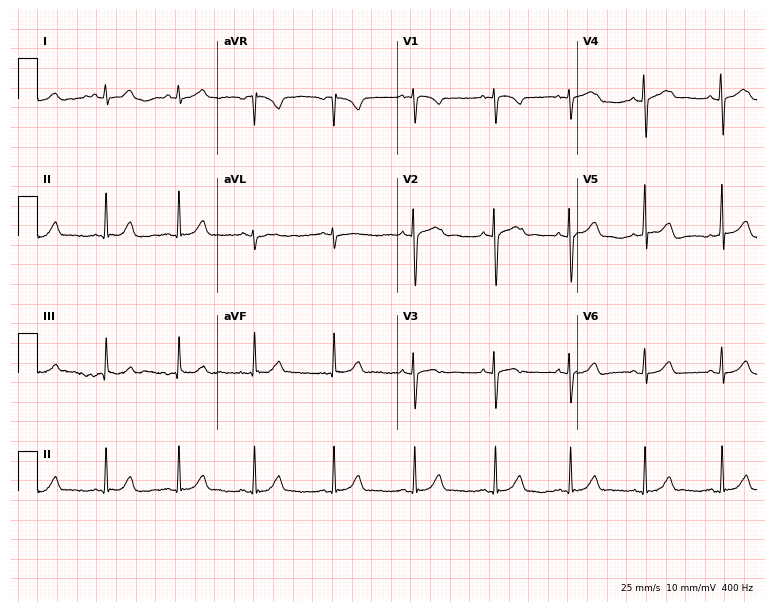
Electrocardiogram, a female patient, 17 years old. Overall reading on record: normal ECG.